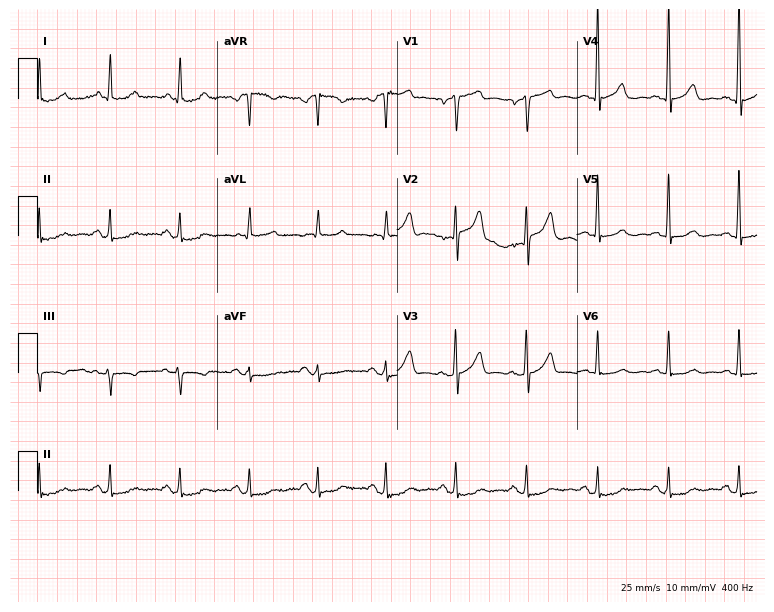
12-lead ECG from a male patient, 60 years old (7.3-second recording at 400 Hz). No first-degree AV block, right bundle branch block, left bundle branch block, sinus bradycardia, atrial fibrillation or sinus tachycardia recorded for this tracing. Findings outside these six are not listed.